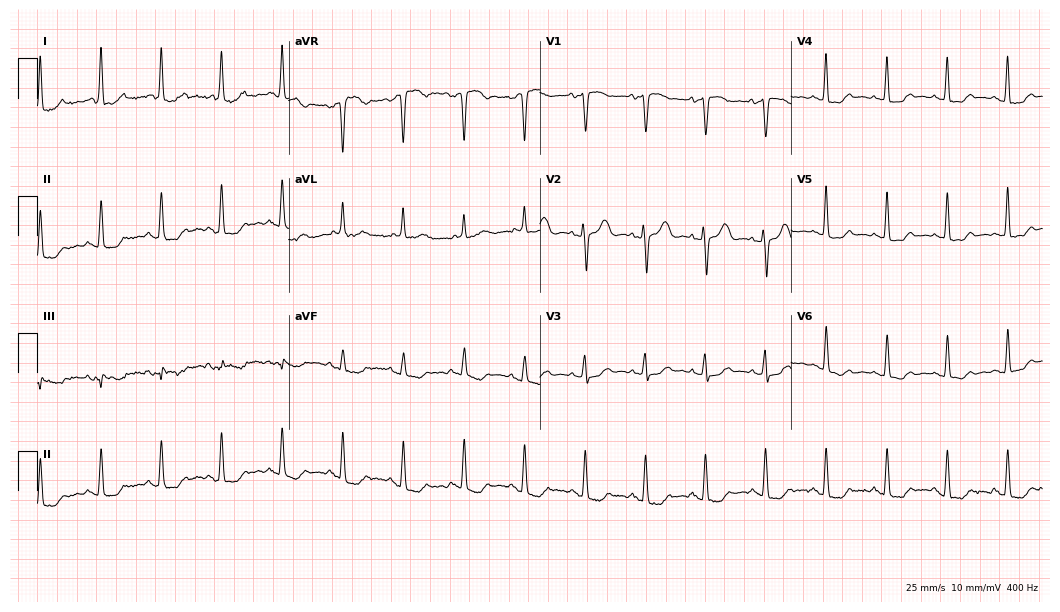
Standard 12-lead ECG recorded from a 76-year-old female (10.2-second recording at 400 Hz). None of these six findings is recorded: first-degree AV block, right bundle branch block (RBBB), left bundle branch block (LBBB), sinus bradycardia, atrial fibrillation (AF), sinus tachycardia. Only these six findings were labelled.